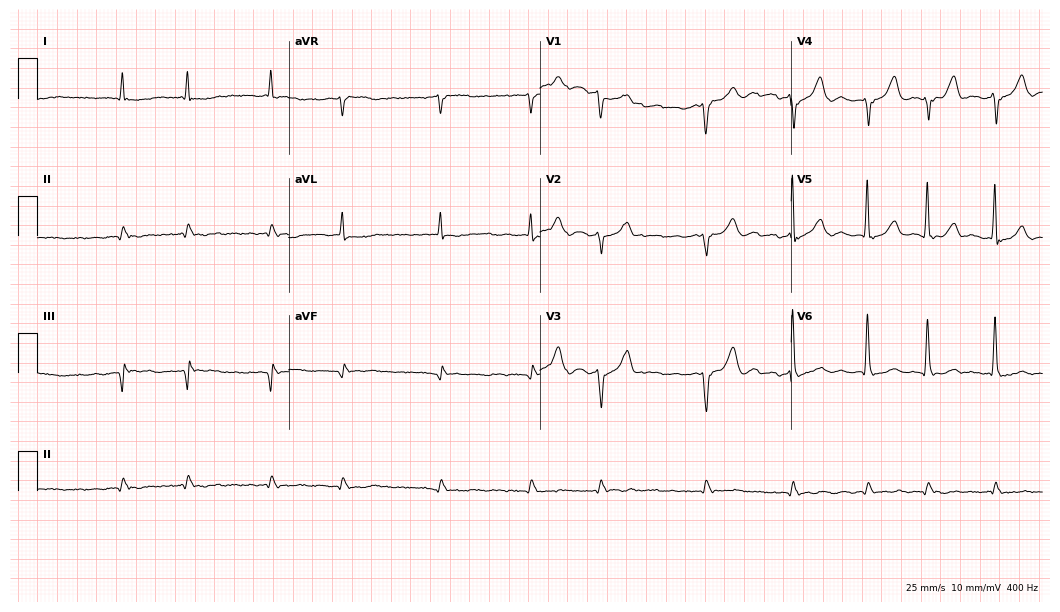
12-lead ECG from a 74-year-old man. Shows atrial fibrillation (AF).